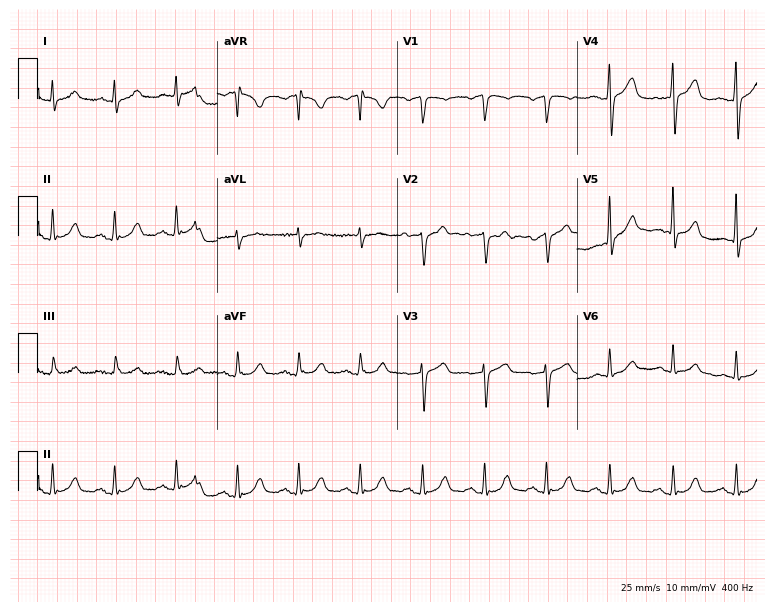
12-lead ECG (7.3-second recording at 400 Hz) from a male, 45 years old. Labelled as a normal ECG.